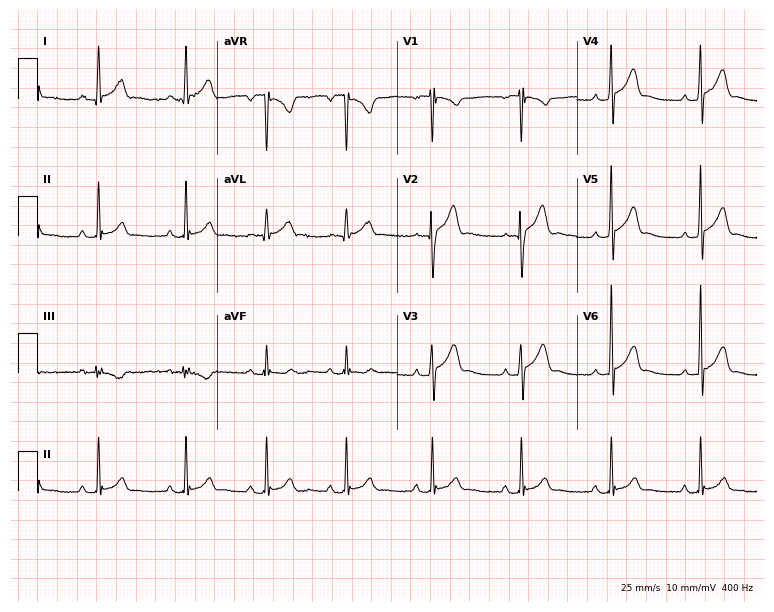
Standard 12-lead ECG recorded from a male patient, 25 years old. Read as a normal ECG.